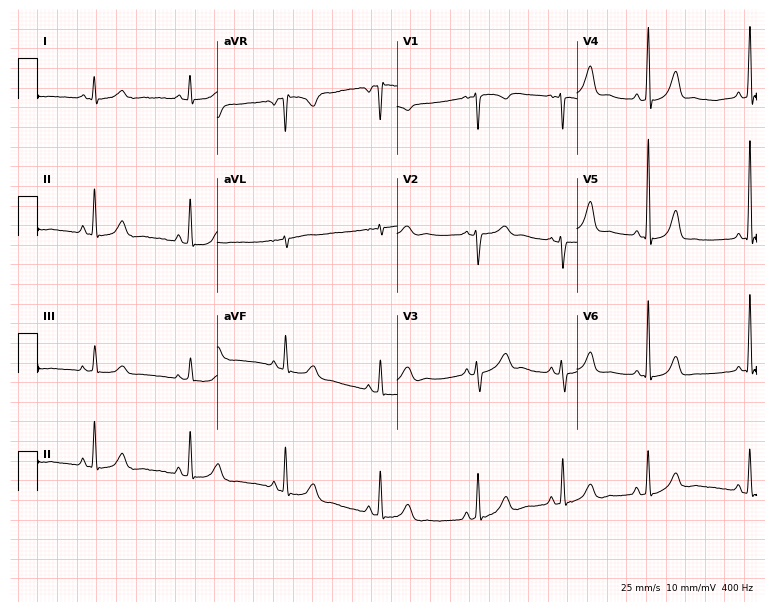
Electrocardiogram (7.3-second recording at 400 Hz), a female patient, 32 years old. Of the six screened findings (first-degree AV block, right bundle branch block, left bundle branch block, sinus bradycardia, atrial fibrillation, sinus tachycardia), none is recorded.